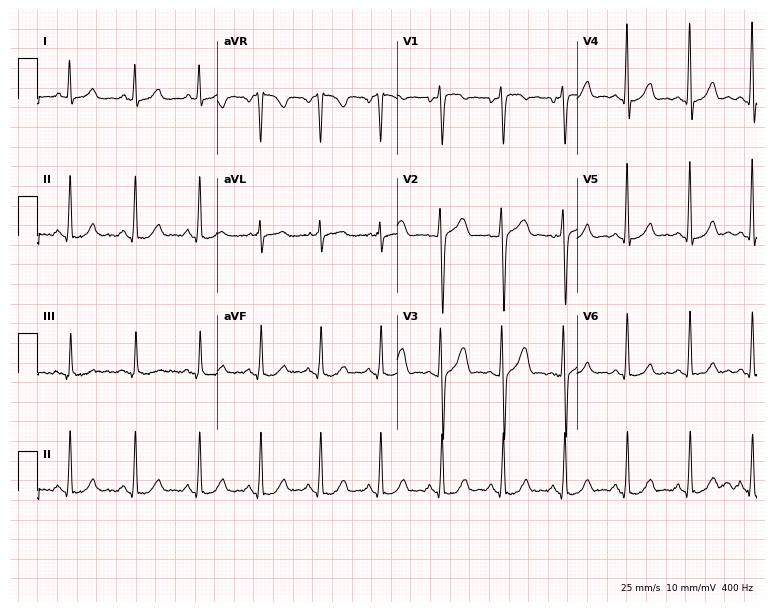
12-lead ECG from a 33-year-old male patient. Recorded interpretation: within normal limits.